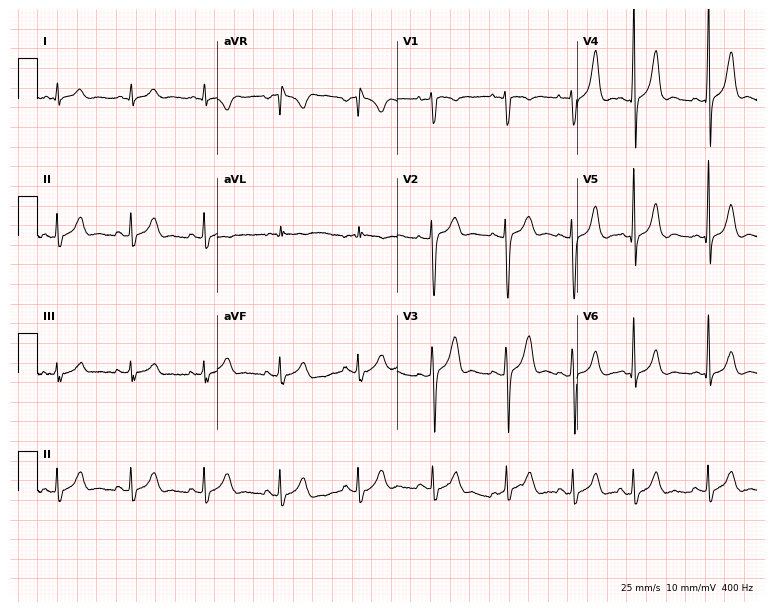
Standard 12-lead ECG recorded from a man, 20 years old (7.3-second recording at 400 Hz). None of these six findings is recorded: first-degree AV block, right bundle branch block (RBBB), left bundle branch block (LBBB), sinus bradycardia, atrial fibrillation (AF), sinus tachycardia. Only these six findings were labelled.